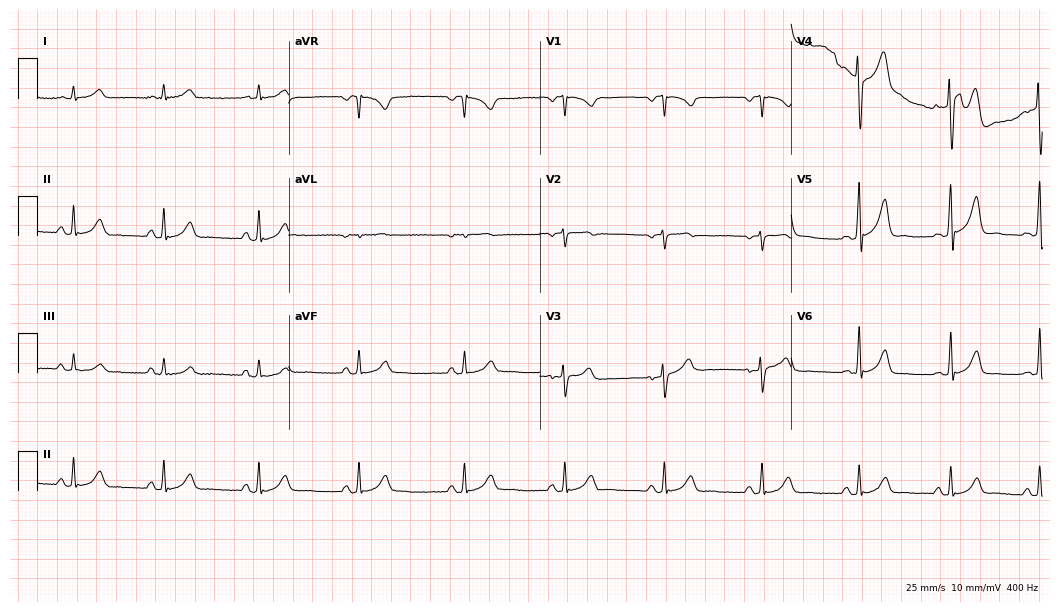
Electrocardiogram (10.2-second recording at 400 Hz), a man, 43 years old. Overall reading on record: normal ECG.